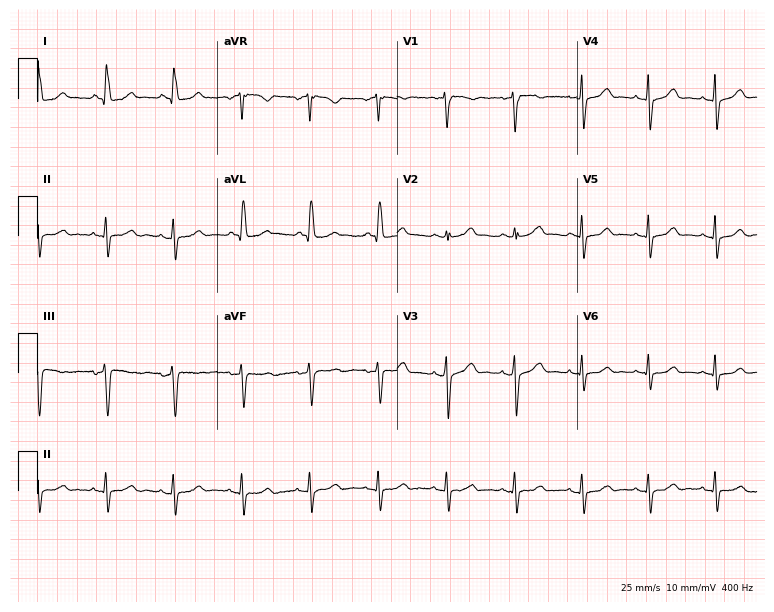
12-lead ECG from a 50-year-old female patient (7.3-second recording at 400 Hz). No first-degree AV block, right bundle branch block, left bundle branch block, sinus bradycardia, atrial fibrillation or sinus tachycardia recorded for this tracing.